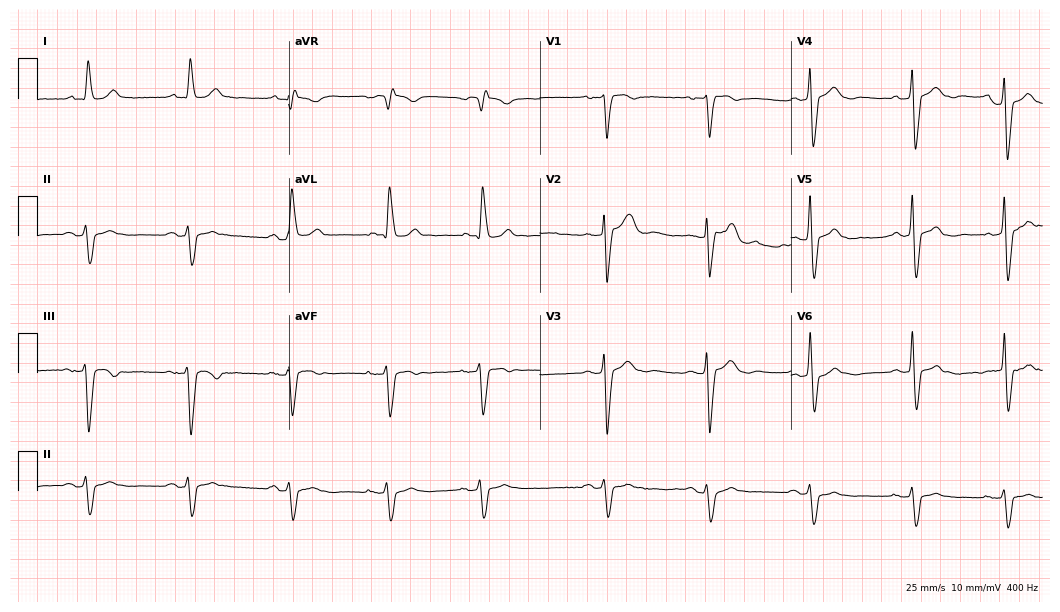
Electrocardiogram (10.2-second recording at 400 Hz), an 88-year-old male. Of the six screened findings (first-degree AV block, right bundle branch block (RBBB), left bundle branch block (LBBB), sinus bradycardia, atrial fibrillation (AF), sinus tachycardia), none is recorded. Only these six findings were labelled.